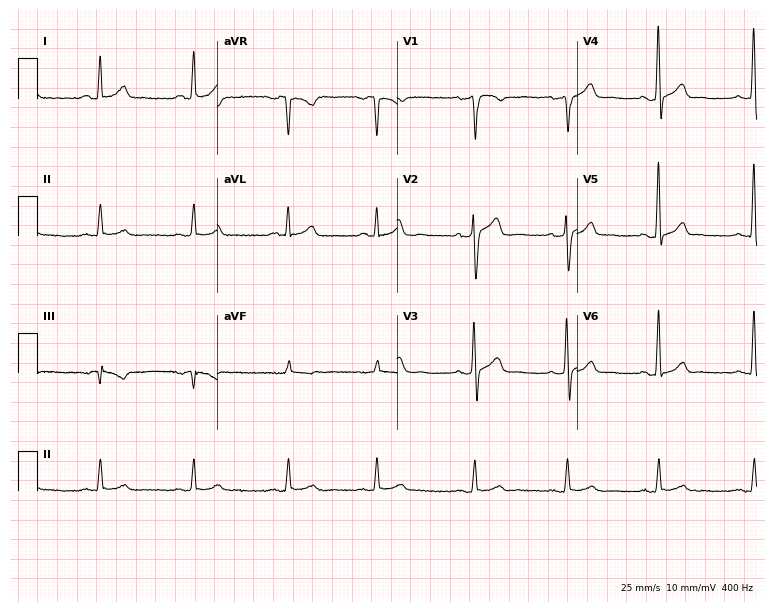
12-lead ECG from a 46-year-old male. Recorded interpretation: within normal limits.